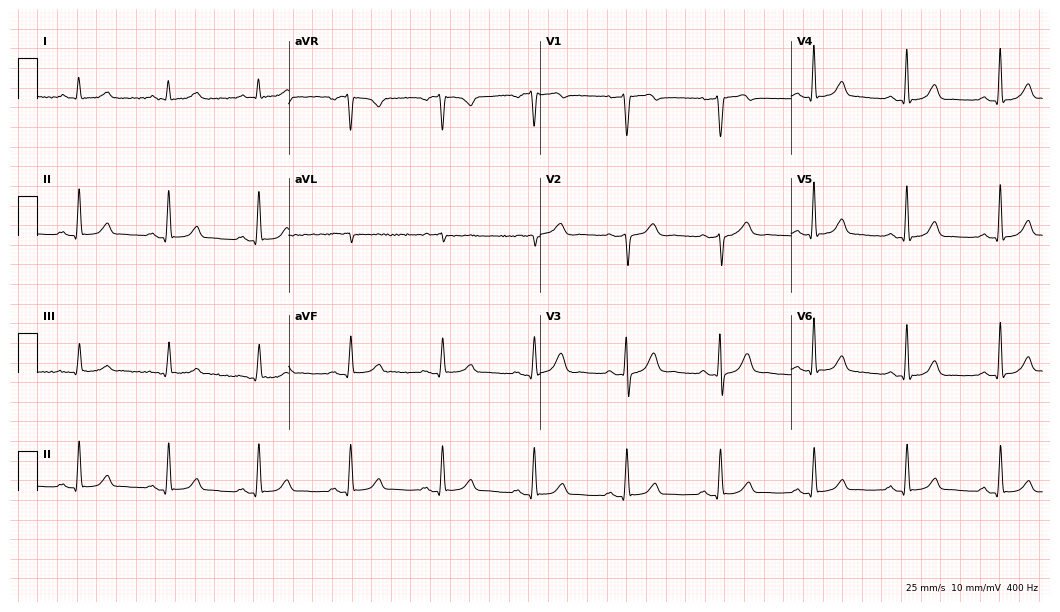
ECG — a male, 75 years old. Labelled as a normal ECG.